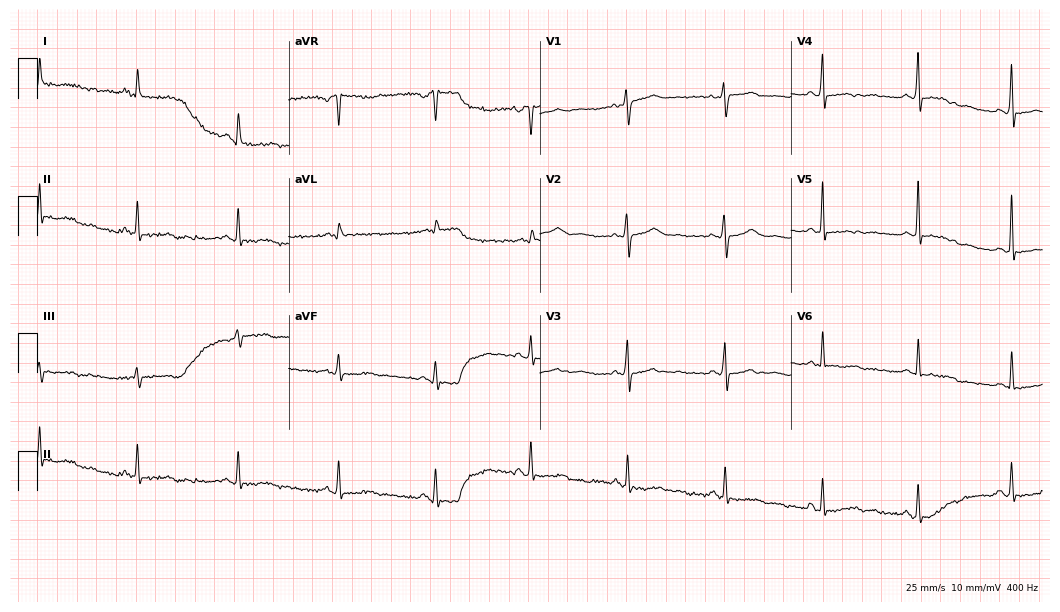
Resting 12-lead electrocardiogram. Patient: a female, 56 years old. None of these six findings is recorded: first-degree AV block, right bundle branch block, left bundle branch block, sinus bradycardia, atrial fibrillation, sinus tachycardia. Only these six findings were labelled.